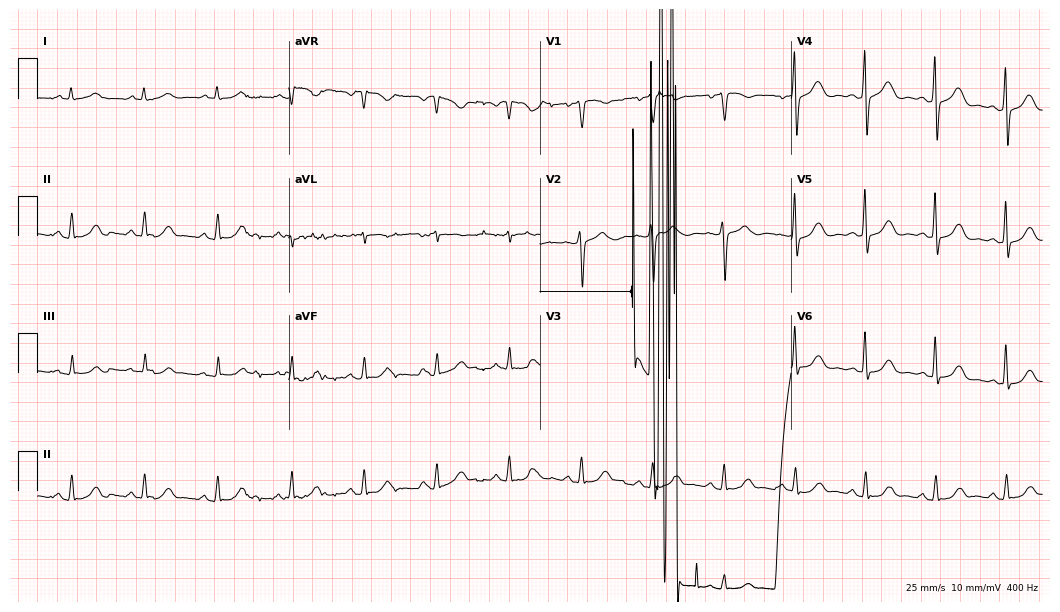
Resting 12-lead electrocardiogram. Patient: a man, 69 years old. None of these six findings is recorded: first-degree AV block, right bundle branch block, left bundle branch block, sinus bradycardia, atrial fibrillation, sinus tachycardia.